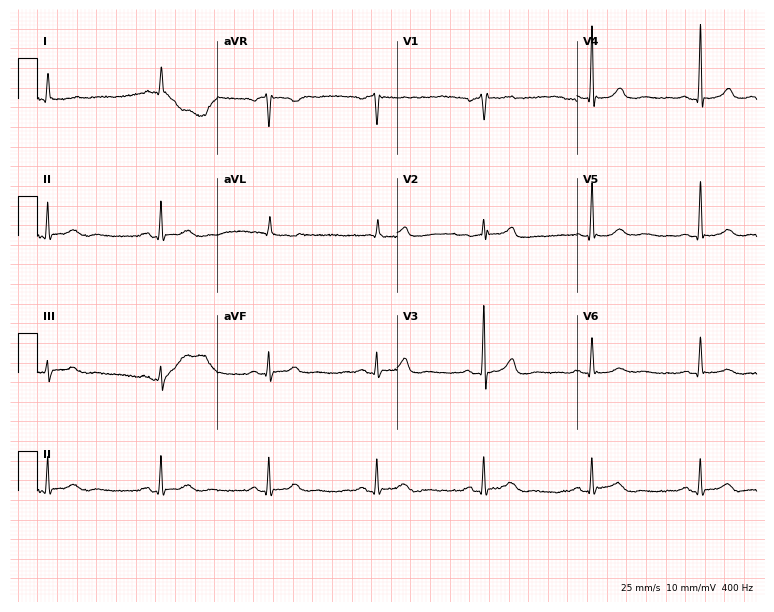
Resting 12-lead electrocardiogram. Patient: a male, 75 years old. Read as a normal ECG.